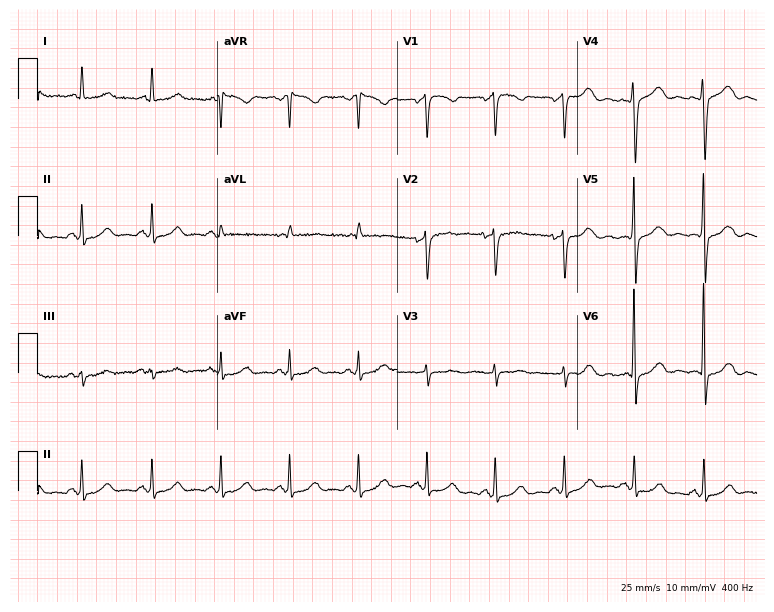
Electrocardiogram (7.3-second recording at 400 Hz), a 56-year-old woman. Overall reading on record: normal ECG.